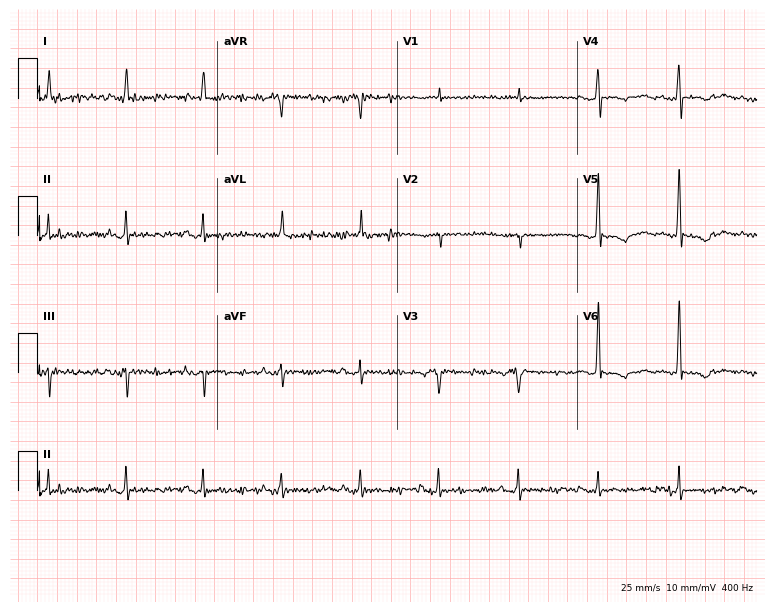
Electrocardiogram (7.3-second recording at 400 Hz), a 73-year-old male. Of the six screened findings (first-degree AV block, right bundle branch block, left bundle branch block, sinus bradycardia, atrial fibrillation, sinus tachycardia), none is recorded. Other findings, if any, are not listed.